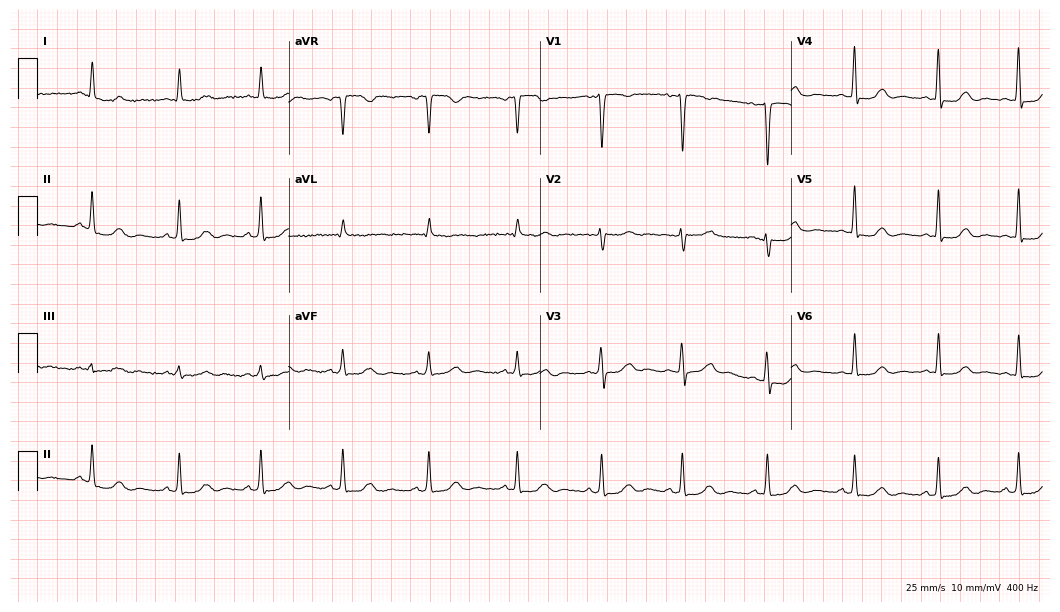
12-lead ECG (10.2-second recording at 400 Hz) from a woman, 42 years old. Labelled as a normal ECG.